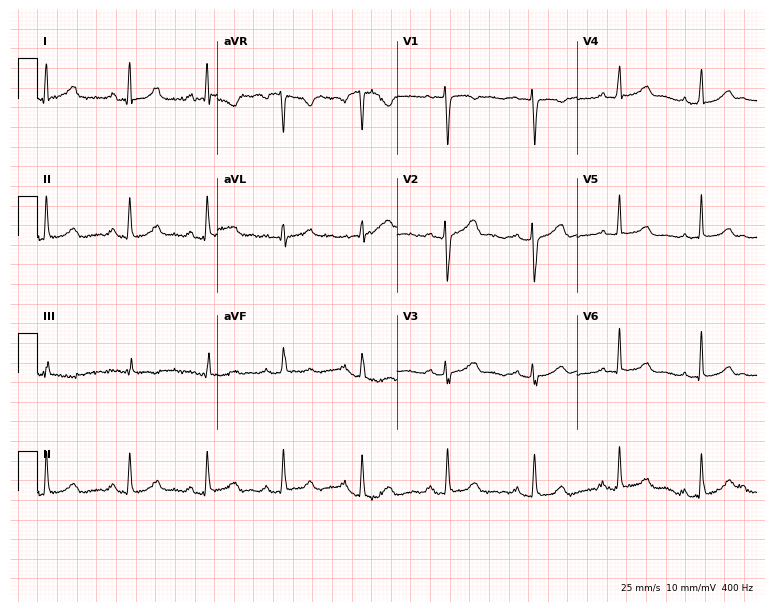
Electrocardiogram, a female, 30 years old. Overall reading on record: normal ECG.